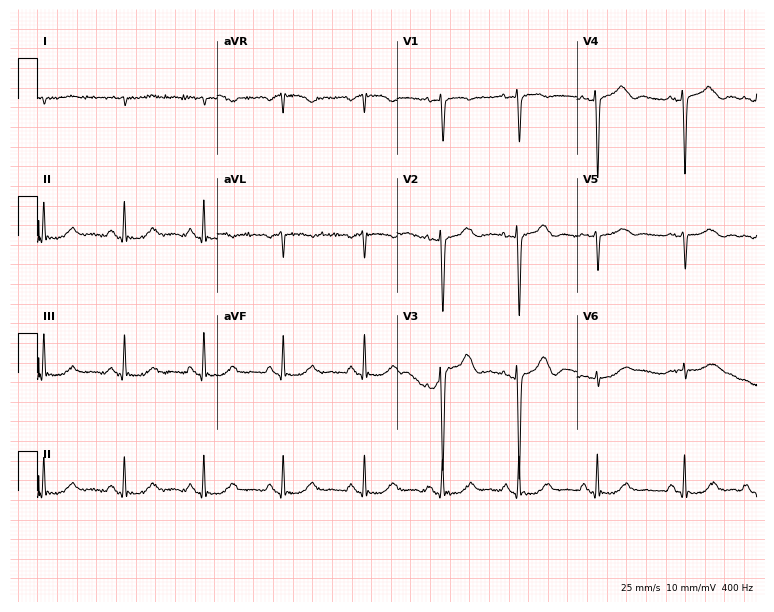
Electrocardiogram (7.3-second recording at 400 Hz), a 79-year-old woman. Of the six screened findings (first-degree AV block, right bundle branch block, left bundle branch block, sinus bradycardia, atrial fibrillation, sinus tachycardia), none is recorded.